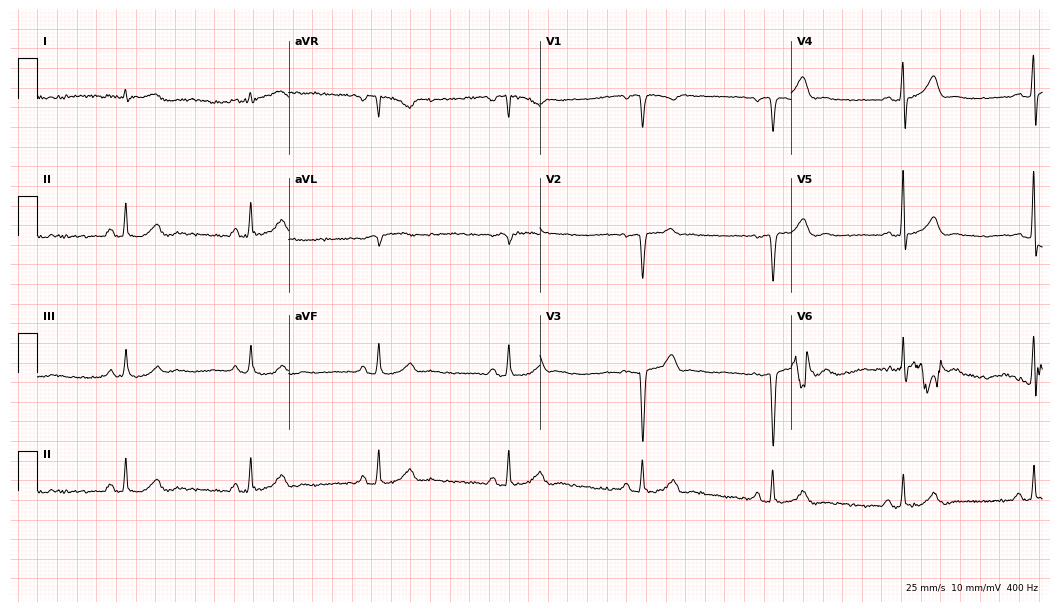
12-lead ECG from a 59-year-old man. Shows sinus bradycardia (a sinus rate of 50 beats per minute or less).